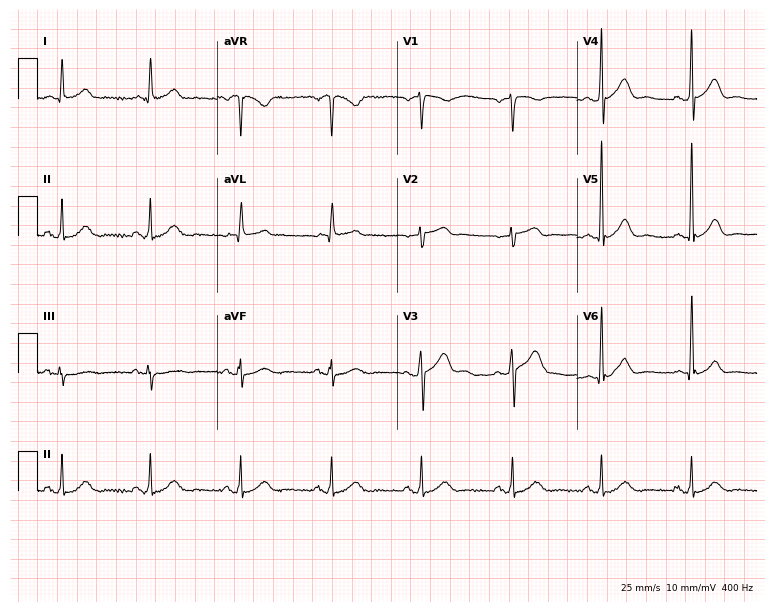
ECG — a 64-year-old man. Labelled as a normal ECG.